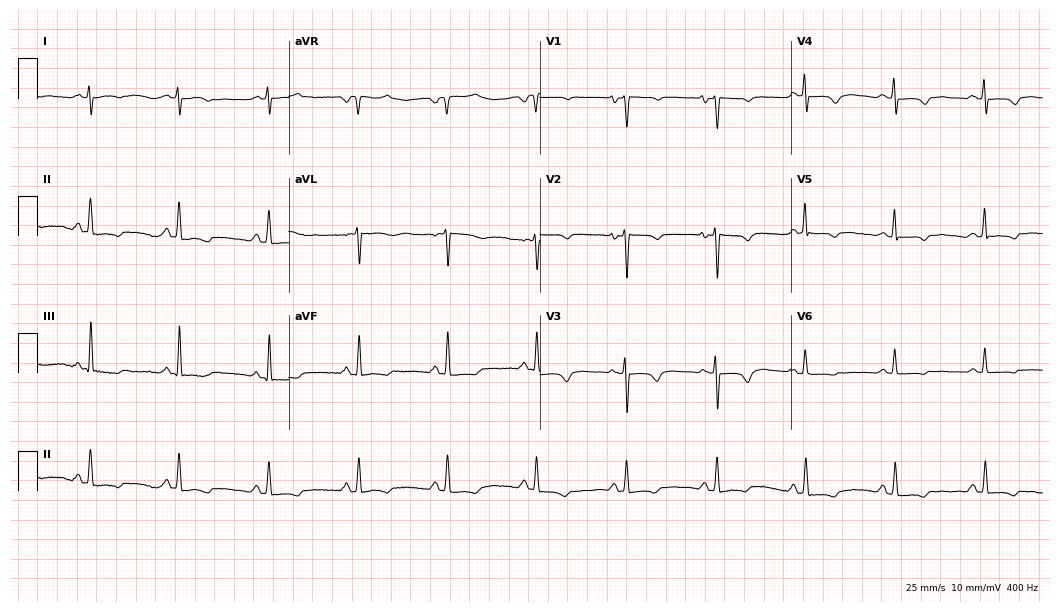
Standard 12-lead ECG recorded from a female, 54 years old (10.2-second recording at 400 Hz). None of these six findings is recorded: first-degree AV block, right bundle branch block (RBBB), left bundle branch block (LBBB), sinus bradycardia, atrial fibrillation (AF), sinus tachycardia. Only these six findings were labelled.